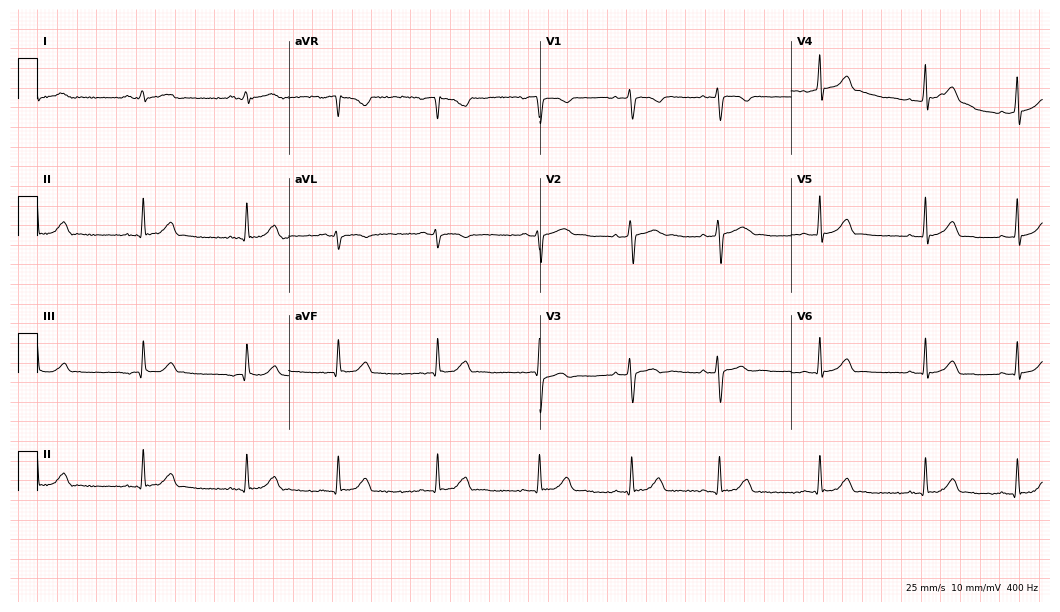
12-lead ECG from a 22-year-old female. Recorded interpretation: within normal limits.